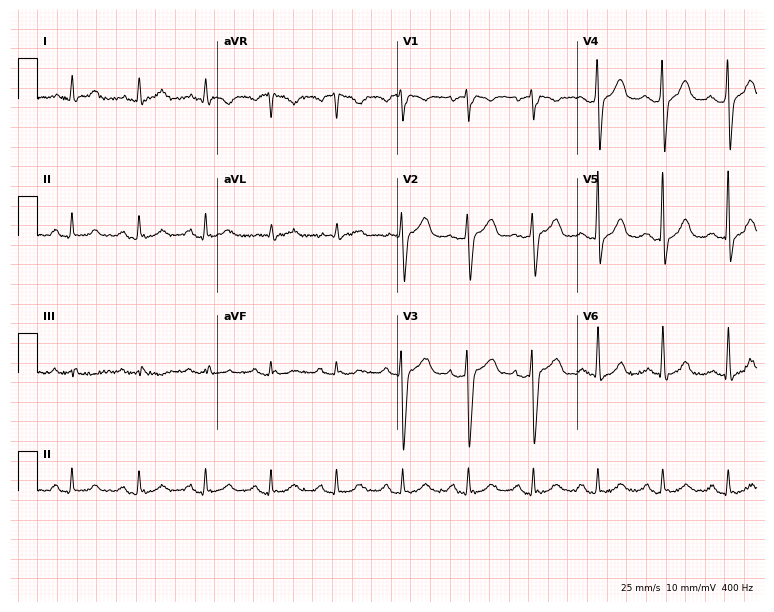
Resting 12-lead electrocardiogram (7.3-second recording at 400 Hz). Patient: a 59-year-old man. Read as a normal ECG.